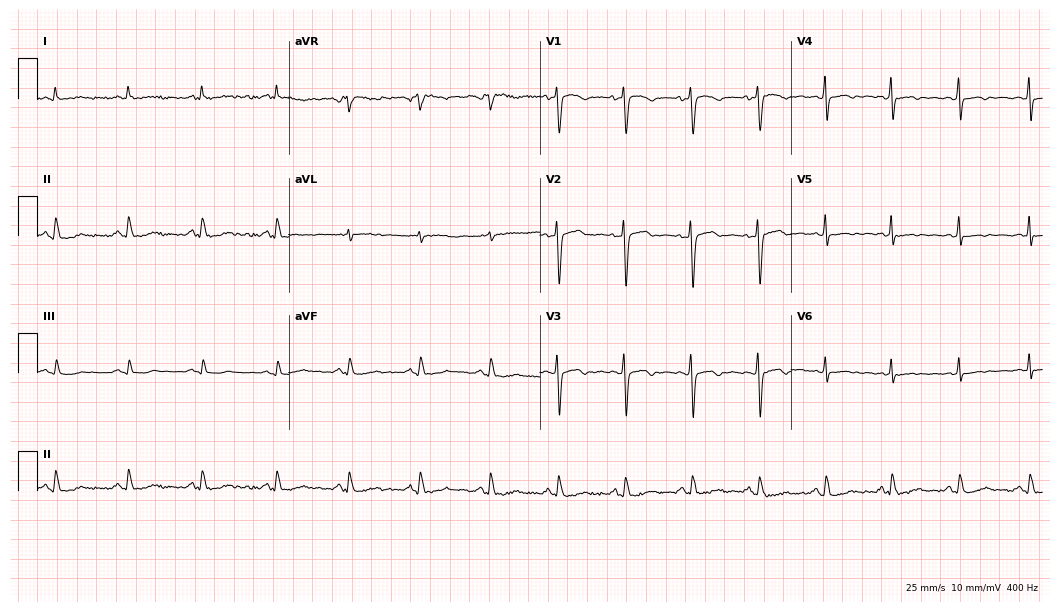
12-lead ECG (10.2-second recording at 400 Hz) from a 53-year-old female. Screened for six findings — first-degree AV block, right bundle branch block, left bundle branch block, sinus bradycardia, atrial fibrillation, sinus tachycardia — none is recorded. Other findings, if any, are not listed.